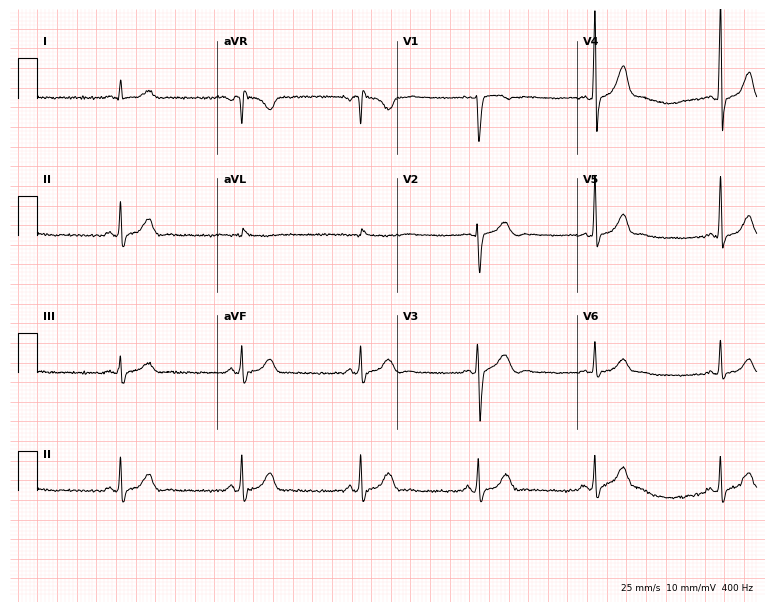
12-lead ECG (7.3-second recording at 400 Hz) from a man, 28 years old. Screened for six findings — first-degree AV block, right bundle branch block, left bundle branch block, sinus bradycardia, atrial fibrillation, sinus tachycardia — none is recorded.